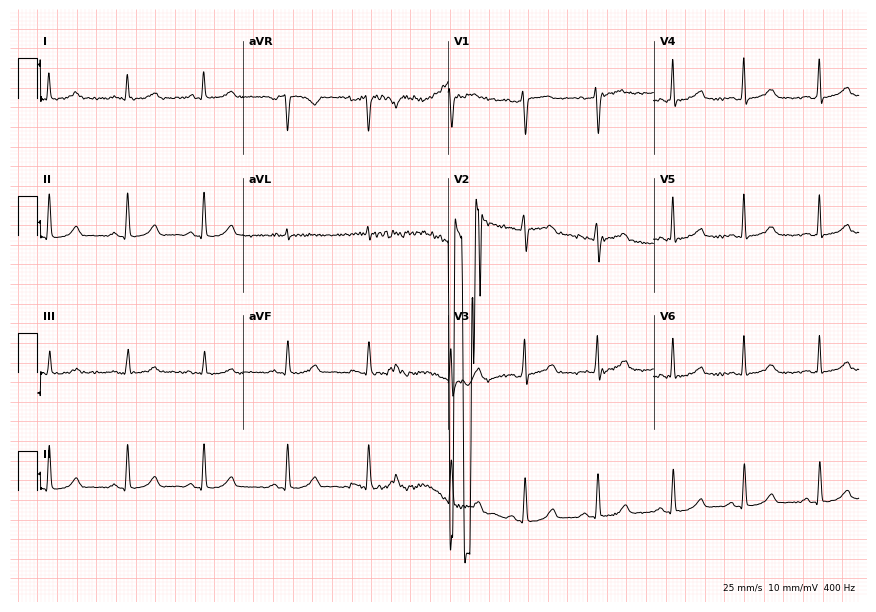
12-lead ECG from a 42-year-old female (8.4-second recording at 400 Hz). Recorded interpretation: within normal limits.